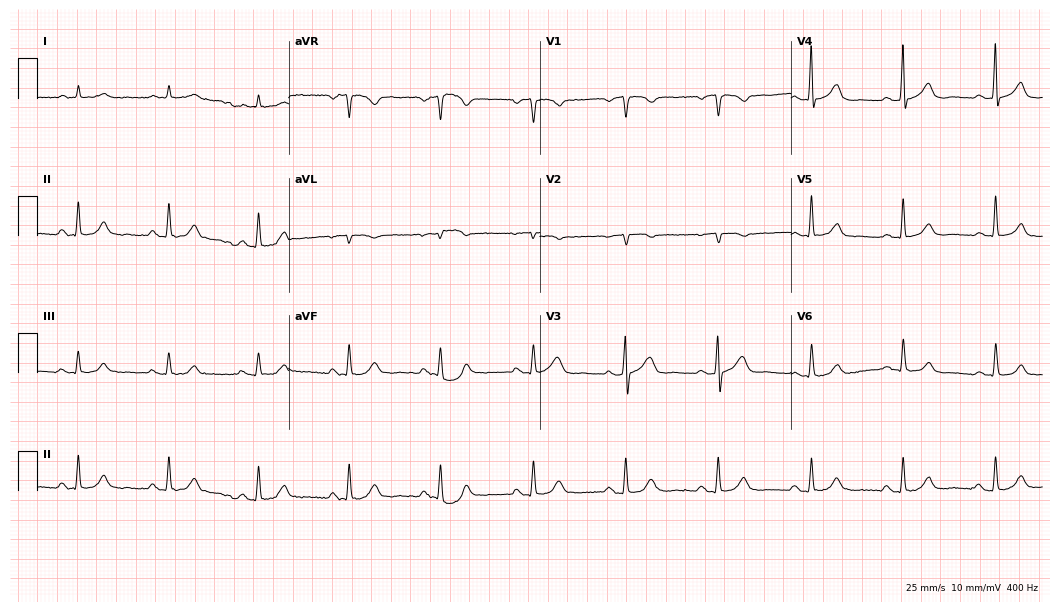
ECG (10.2-second recording at 400 Hz) — a male patient, 75 years old. Screened for six findings — first-degree AV block, right bundle branch block (RBBB), left bundle branch block (LBBB), sinus bradycardia, atrial fibrillation (AF), sinus tachycardia — none is recorded.